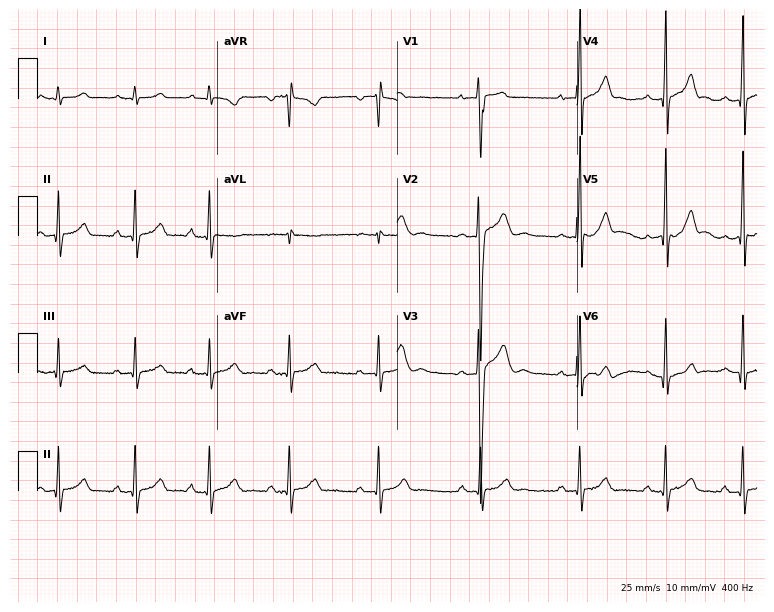
Standard 12-lead ECG recorded from an 18-year-old male patient. Read as a normal ECG.